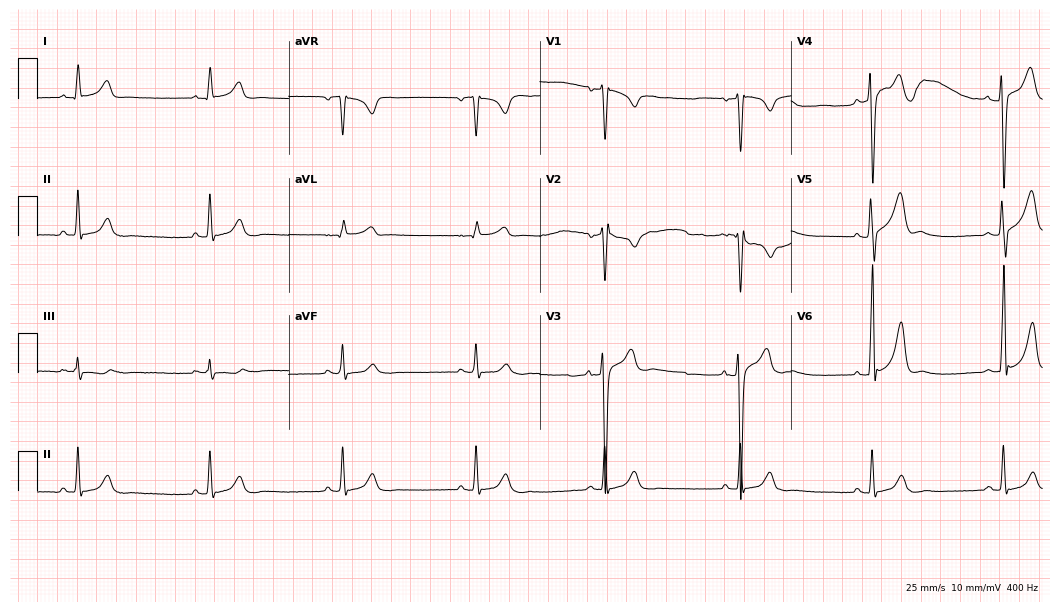
12-lead ECG (10.2-second recording at 400 Hz) from a man, 28 years old. Screened for six findings — first-degree AV block, right bundle branch block, left bundle branch block, sinus bradycardia, atrial fibrillation, sinus tachycardia — none is recorded. Findings outside these six are not listed.